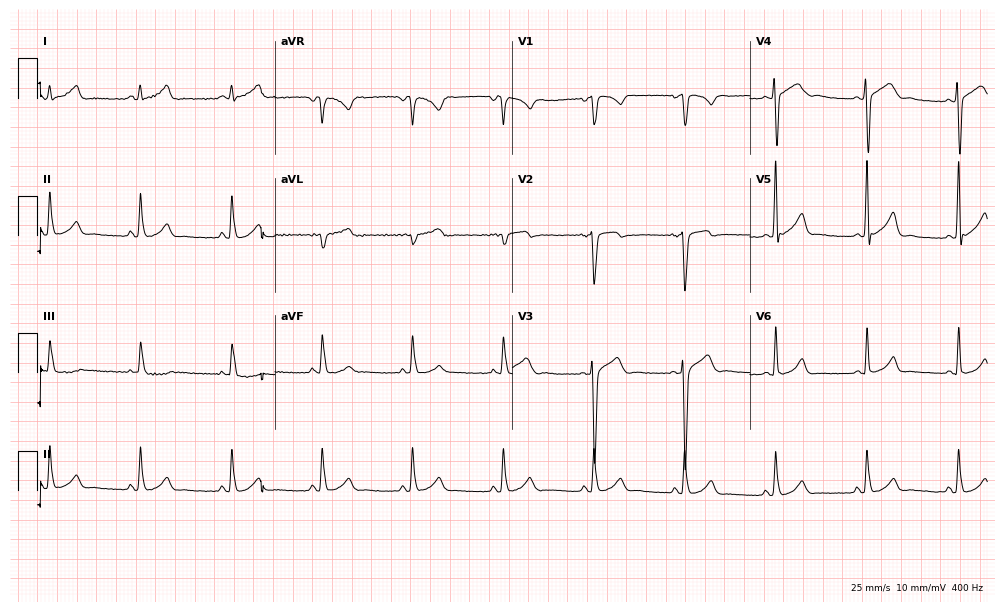
12-lead ECG from a female patient, 17 years old. Labelled as a normal ECG.